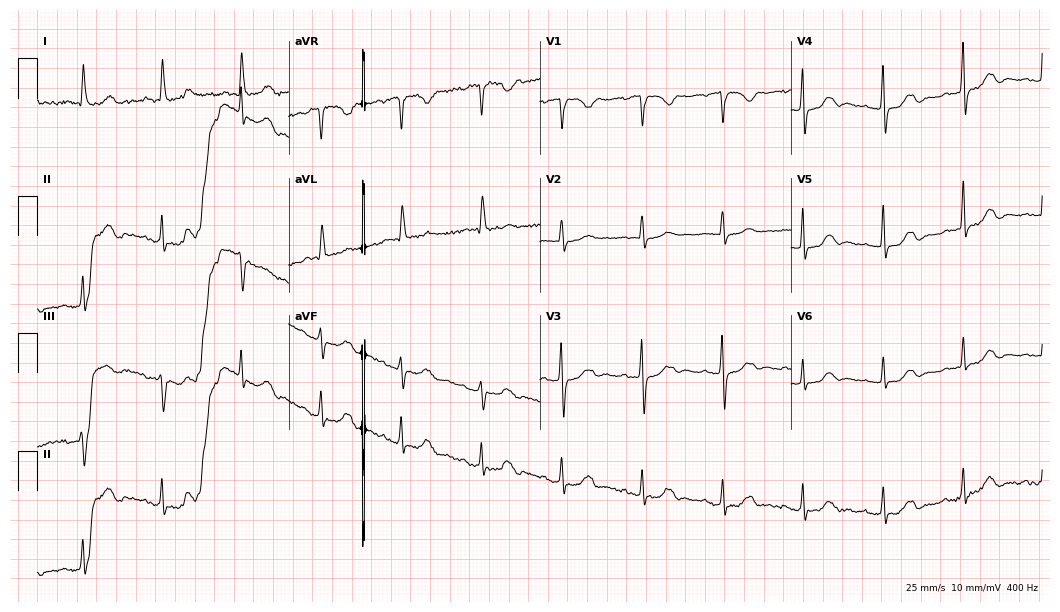
Electrocardiogram, a female, 78 years old. Of the six screened findings (first-degree AV block, right bundle branch block, left bundle branch block, sinus bradycardia, atrial fibrillation, sinus tachycardia), none is recorded. Findings outside these six are not listed.